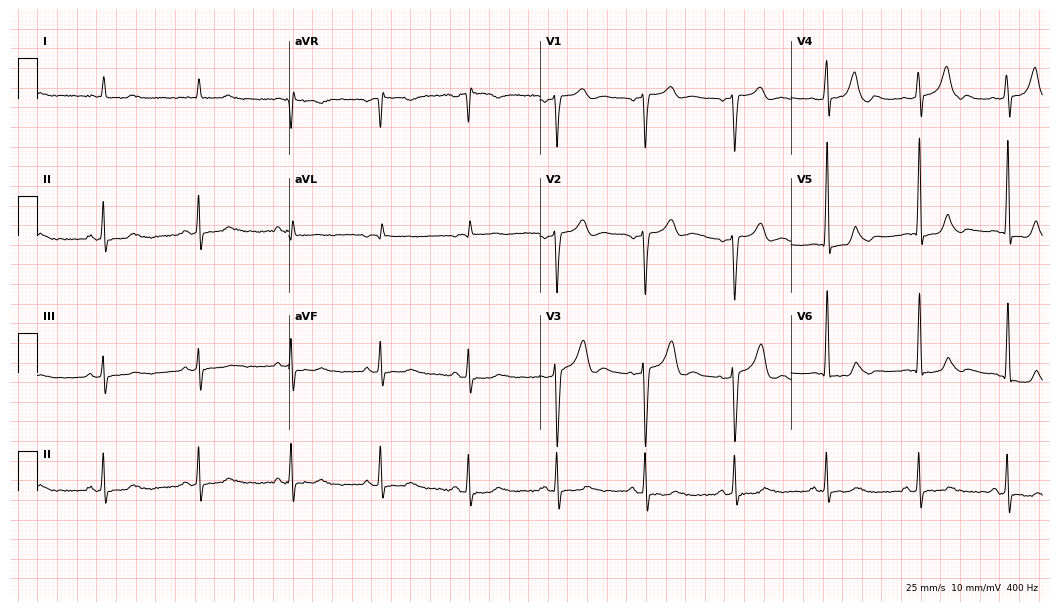
ECG (10.2-second recording at 400 Hz) — a 51-year-old man. Screened for six findings — first-degree AV block, right bundle branch block (RBBB), left bundle branch block (LBBB), sinus bradycardia, atrial fibrillation (AF), sinus tachycardia — none is recorded.